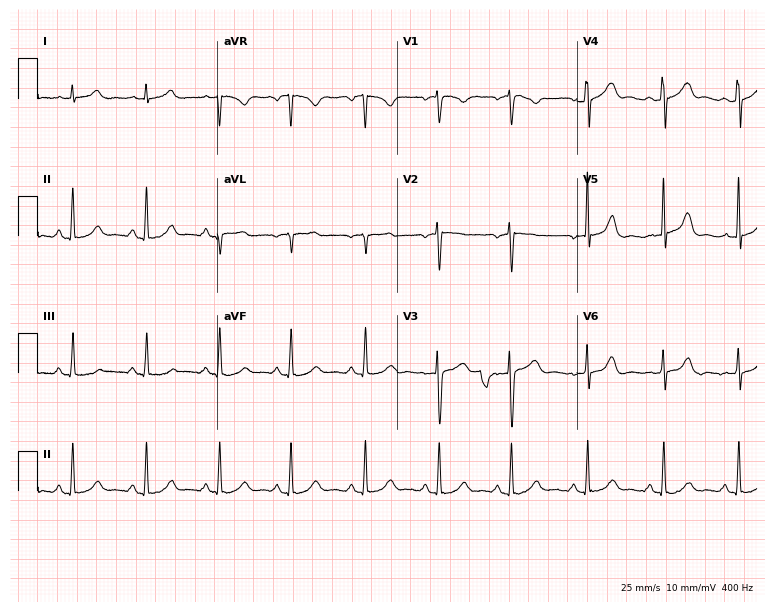
Electrocardiogram, a woman, 33 years old. Of the six screened findings (first-degree AV block, right bundle branch block, left bundle branch block, sinus bradycardia, atrial fibrillation, sinus tachycardia), none is recorded. Findings outside these six are not listed.